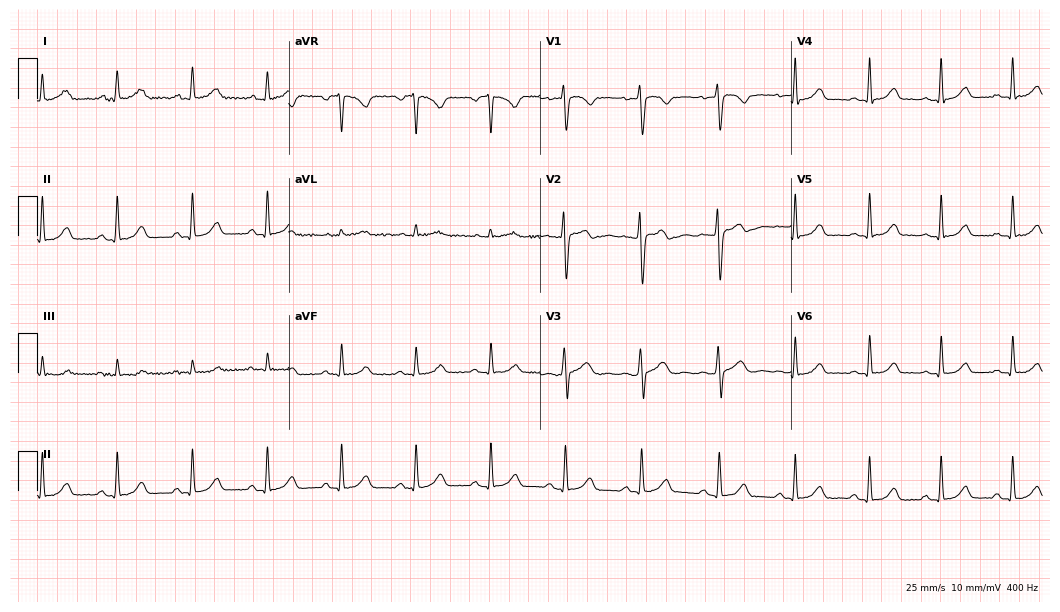
Resting 12-lead electrocardiogram. Patient: a 27-year-old woman. Read as a normal ECG.